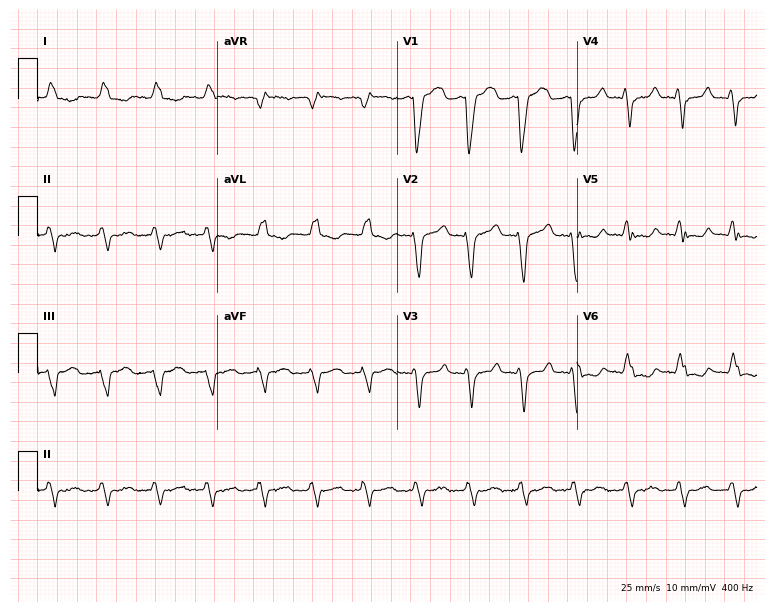
12-lead ECG from an 81-year-old woman. No first-degree AV block, right bundle branch block, left bundle branch block, sinus bradycardia, atrial fibrillation or sinus tachycardia recorded for this tracing. Findings outside these six are not listed.